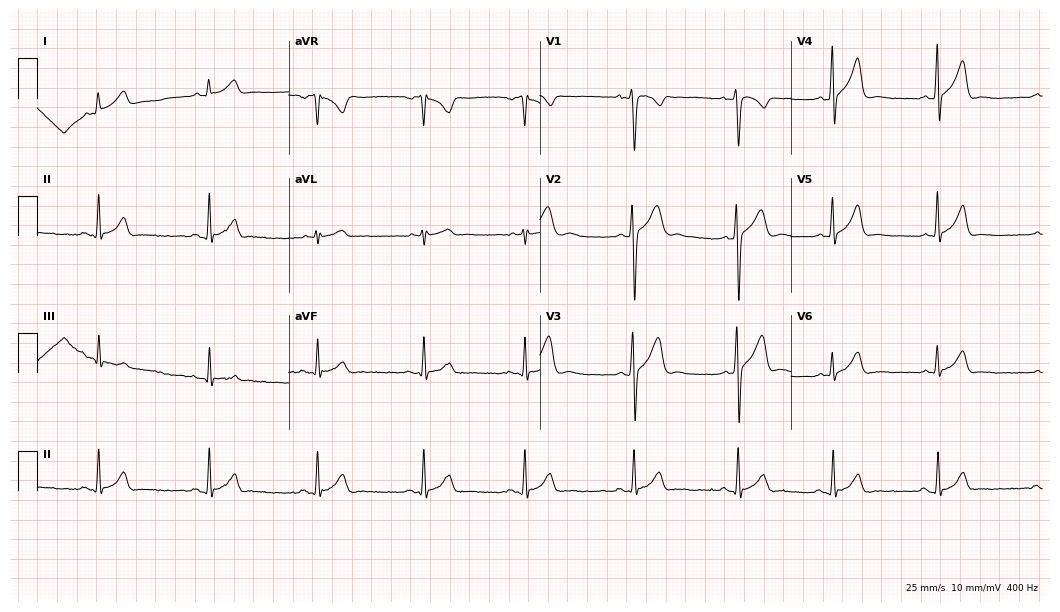
12-lead ECG (10.2-second recording at 400 Hz) from a 22-year-old male patient. Screened for six findings — first-degree AV block, right bundle branch block, left bundle branch block, sinus bradycardia, atrial fibrillation, sinus tachycardia — none is recorded. Only these six findings were labelled.